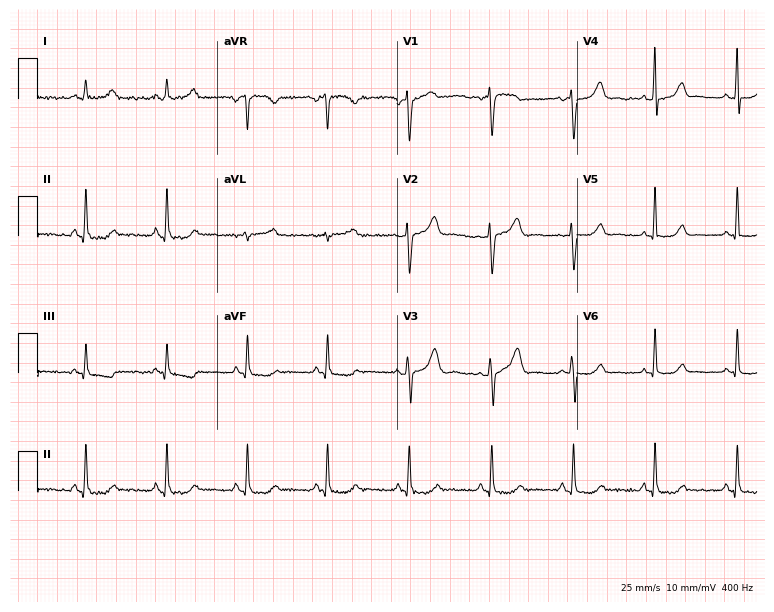
Electrocardiogram, a 55-year-old woman. Overall reading on record: normal ECG.